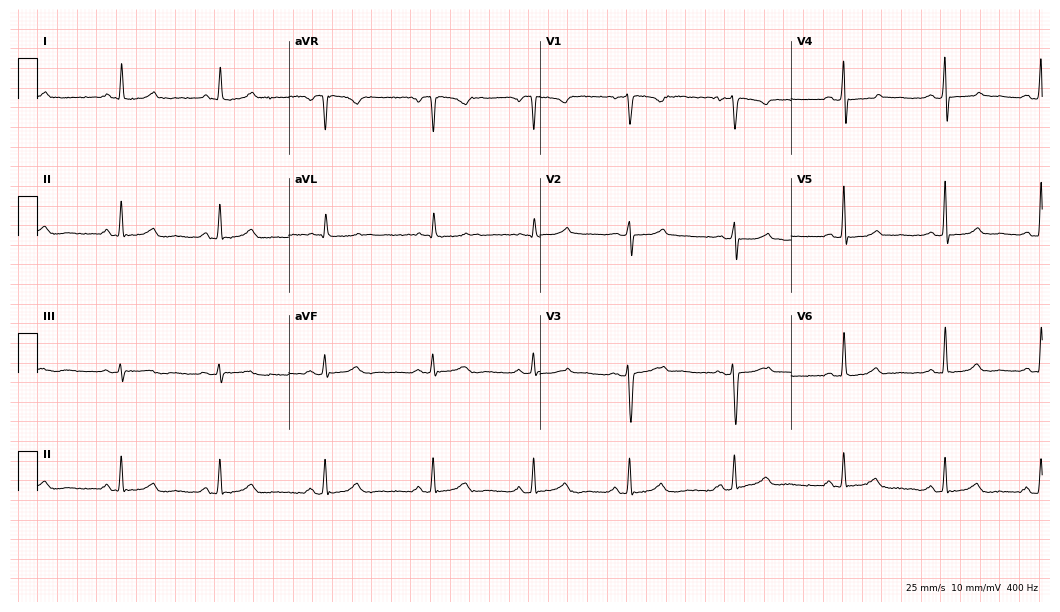
ECG — a female, 32 years old. Labelled as a normal ECG.